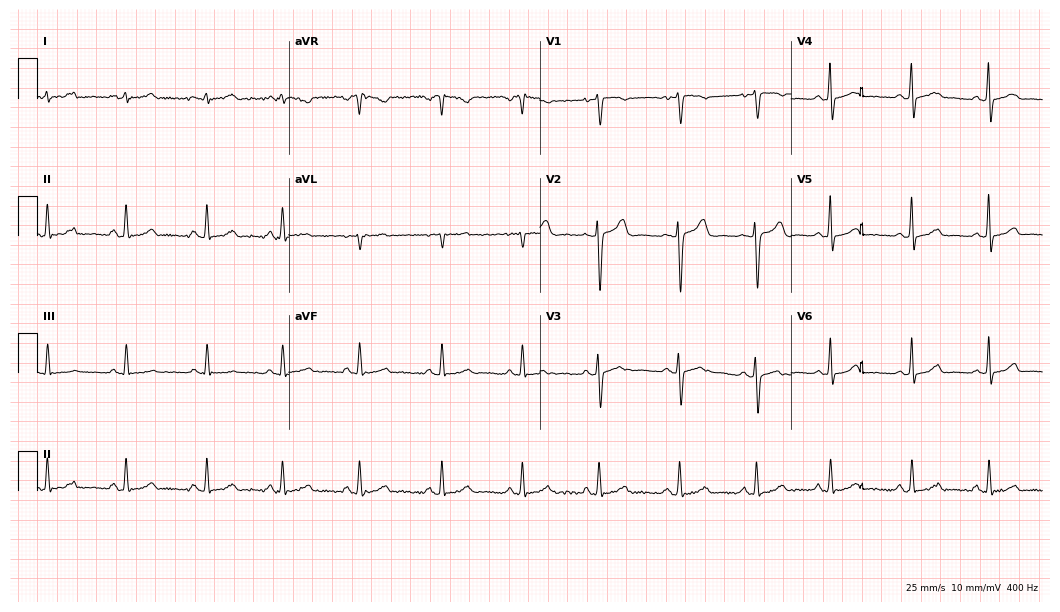
ECG — a 22-year-old female patient. Labelled as a normal ECG.